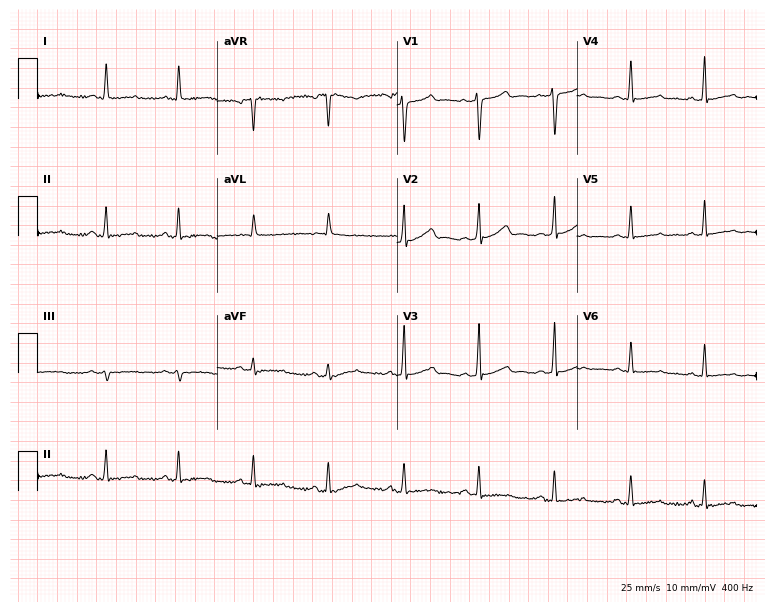
12-lead ECG from a 38-year-old female patient. No first-degree AV block, right bundle branch block, left bundle branch block, sinus bradycardia, atrial fibrillation or sinus tachycardia recorded for this tracing.